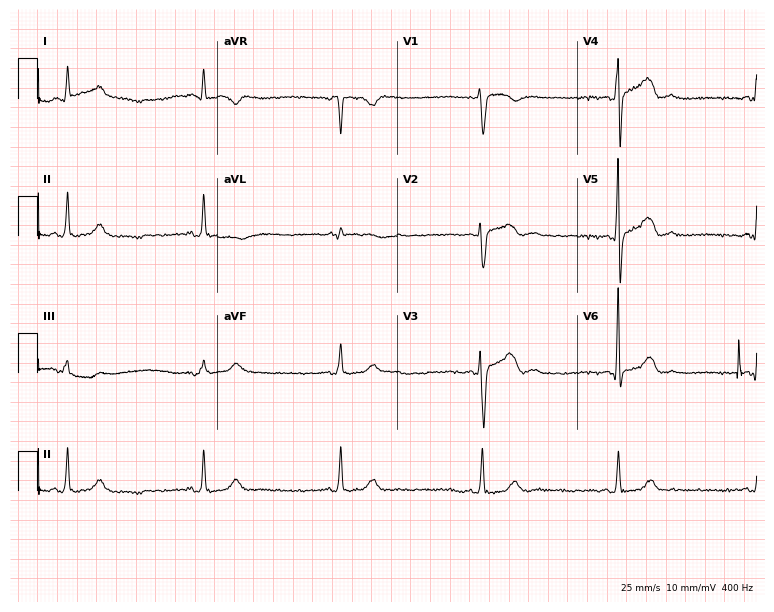
12-lead ECG from a man, 59 years old (7.3-second recording at 400 Hz). Shows sinus bradycardia (a sinus rate of 50 beats per minute or less).